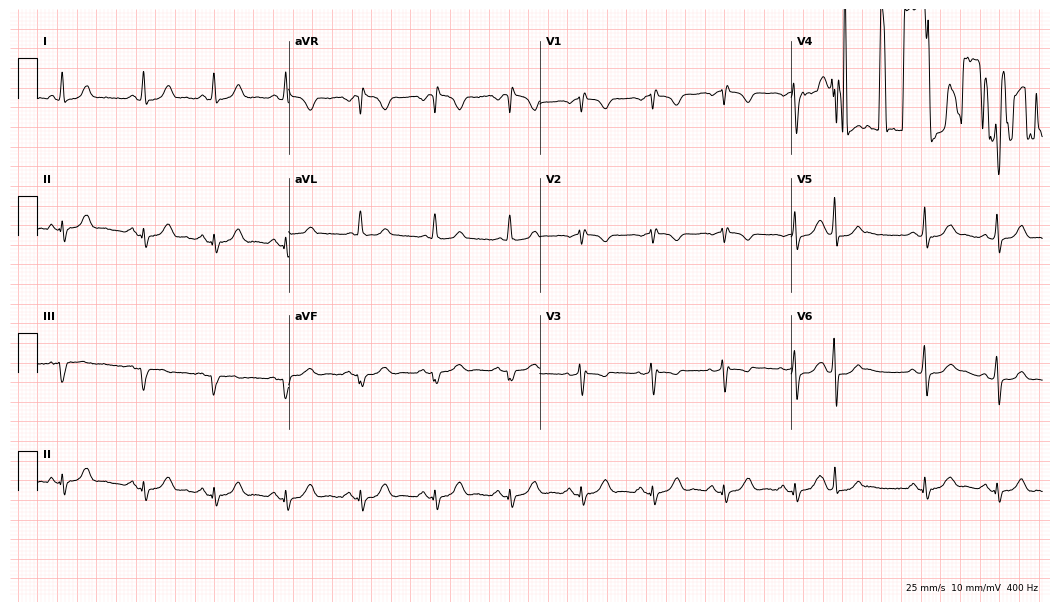
Resting 12-lead electrocardiogram (10.2-second recording at 400 Hz). Patient: a female, 37 years old. None of these six findings is recorded: first-degree AV block, right bundle branch block (RBBB), left bundle branch block (LBBB), sinus bradycardia, atrial fibrillation (AF), sinus tachycardia. Only these six findings were labelled.